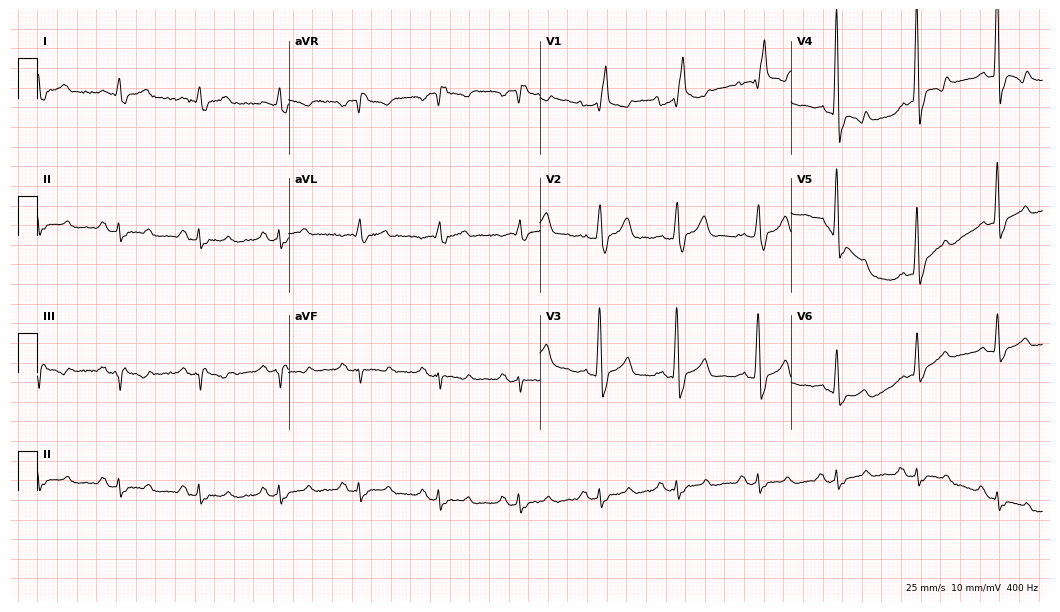
Electrocardiogram, a 72-year-old man. Interpretation includes right bundle branch block (RBBB).